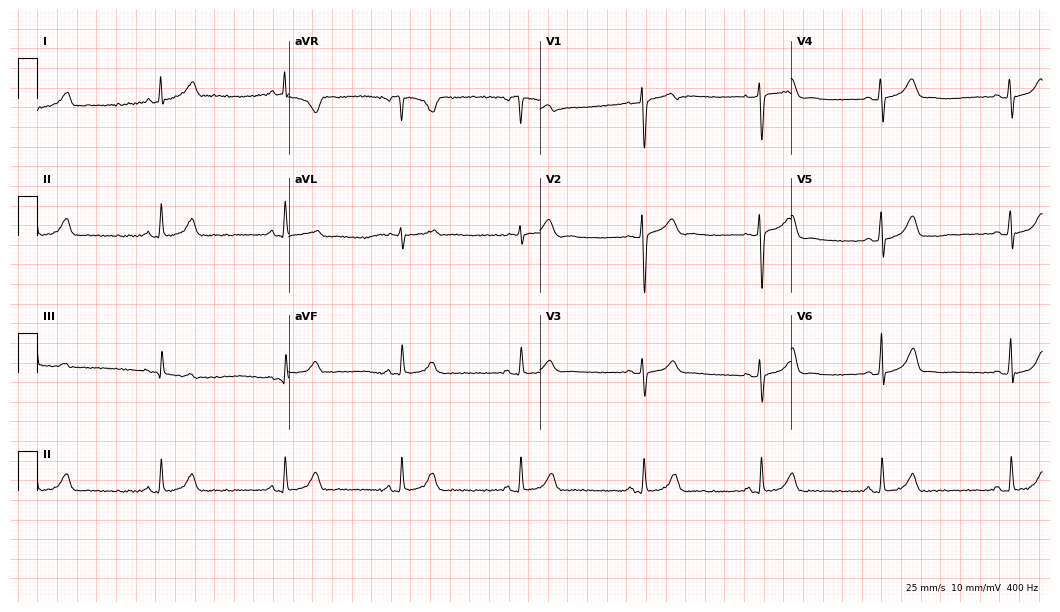
12-lead ECG from a 38-year-old female. Findings include sinus bradycardia (a sinus rate of 50 beats per minute or less).